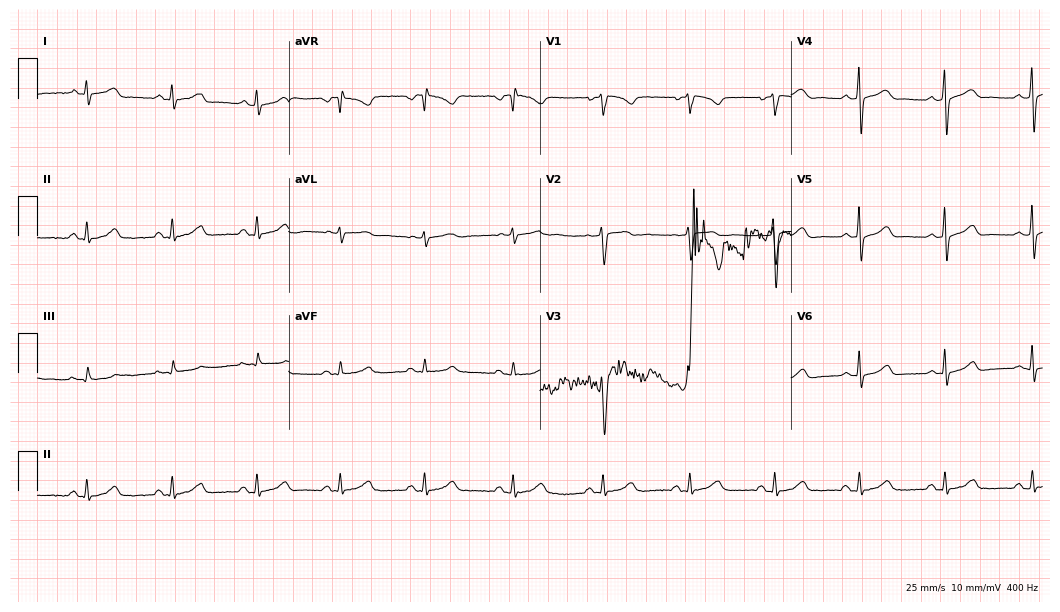
ECG (10.2-second recording at 400 Hz) — a female, 33 years old. Labelled as a normal ECG.